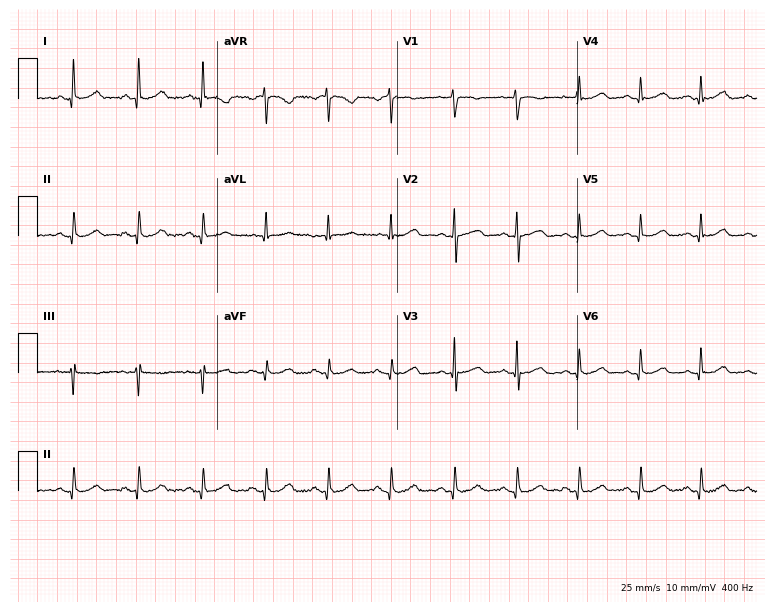
Standard 12-lead ECG recorded from a 54-year-old female patient (7.3-second recording at 400 Hz). Read as a normal ECG.